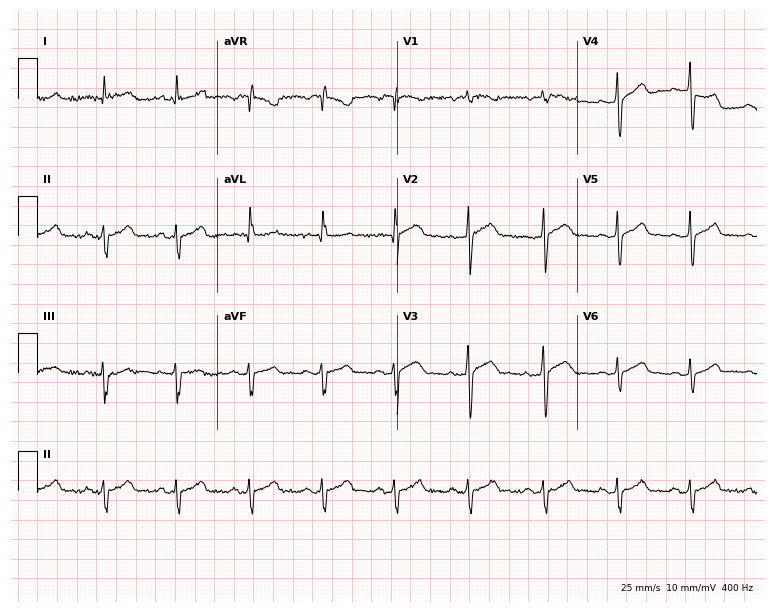
Electrocardiogram (7.3-second recording at 400 Hz), a 54-year-old male patient. Of the six screened findings (first-degree AV block, right bundle branch block, left bundle branch block, sinus bradycardia, atrial fibrillation, sinus tachycardia), none is recorded.